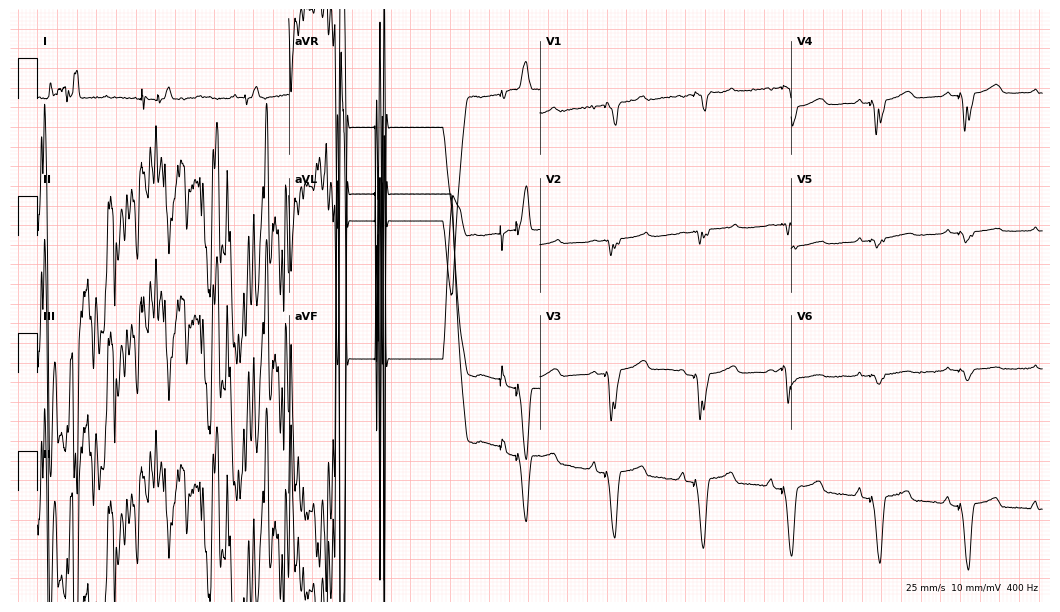
Resting 12-lead electrocardiogram (10.2-second recording at 400 Hz). Patient: a woman, 80 years old. None of these six findings is recorded: first-degree AV block, right bundle branch block (RBBB), left bundle branch block (LBBB), sinus bradycardia, atrial fibrillation (AF), sinus tachycardia. Other findings, if any, are not listed.